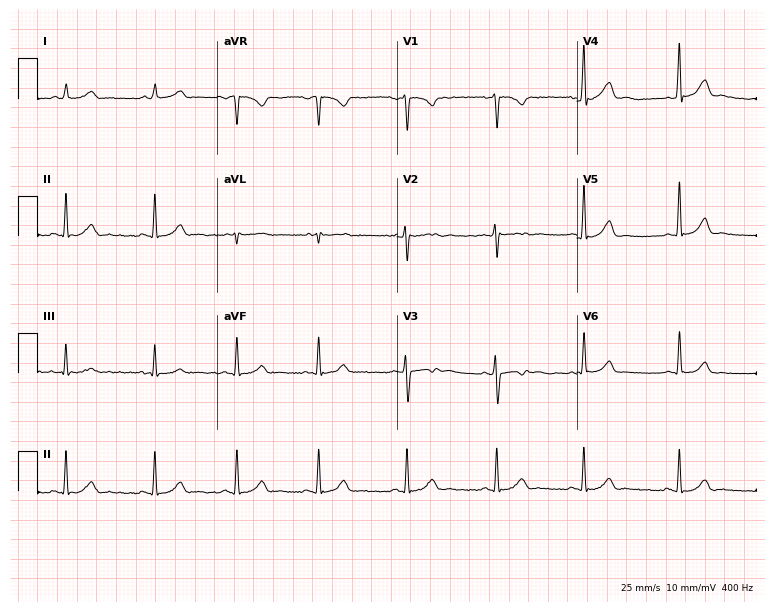
12-lead ECG from a female, 19 years old. No first-degree AV block, right bundle branch block, left bundle branch block, sinus bradycardia, atrial fibrillation or sinus tachycardia recorded for this tracing.